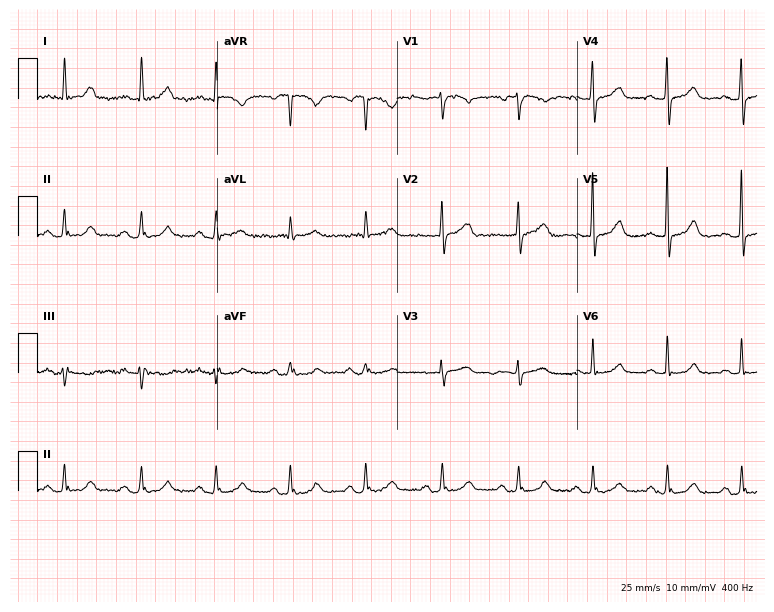
Standard 12-lead ECG recorded from a woman, 69 years old. Read as a normal ECG.